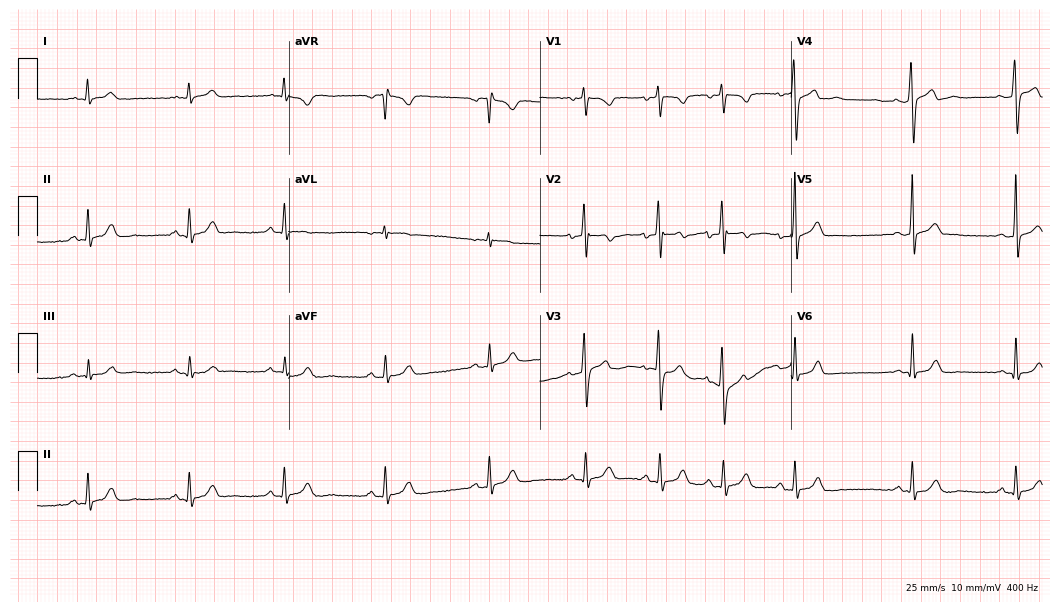
ECG — an 18-year-old male patient. Labelled as a normal ECG.